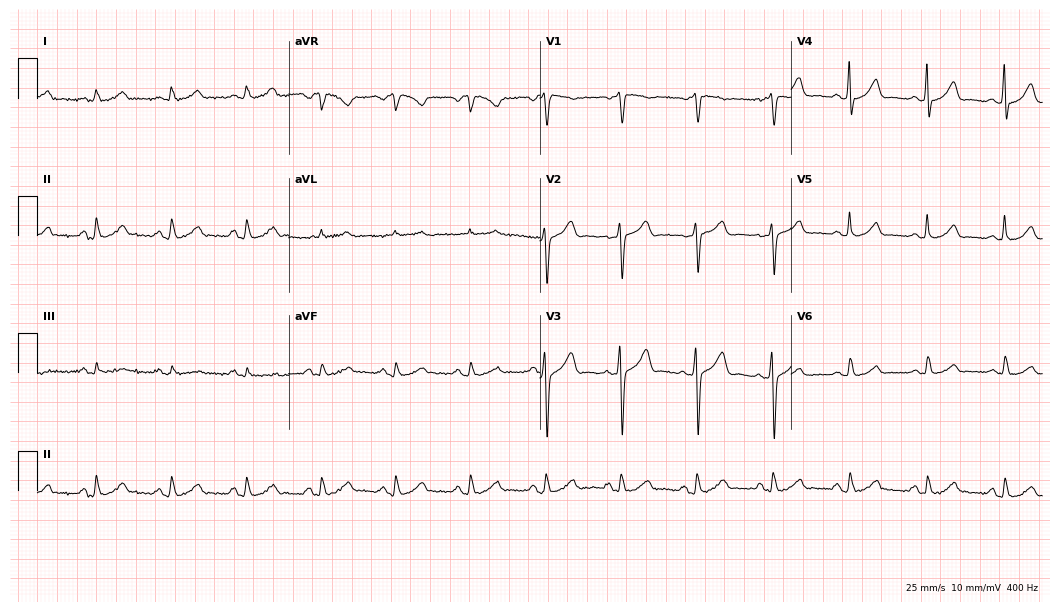
12-lead ECG from a female patient, 49 years old. Labelled as a normal ECG.